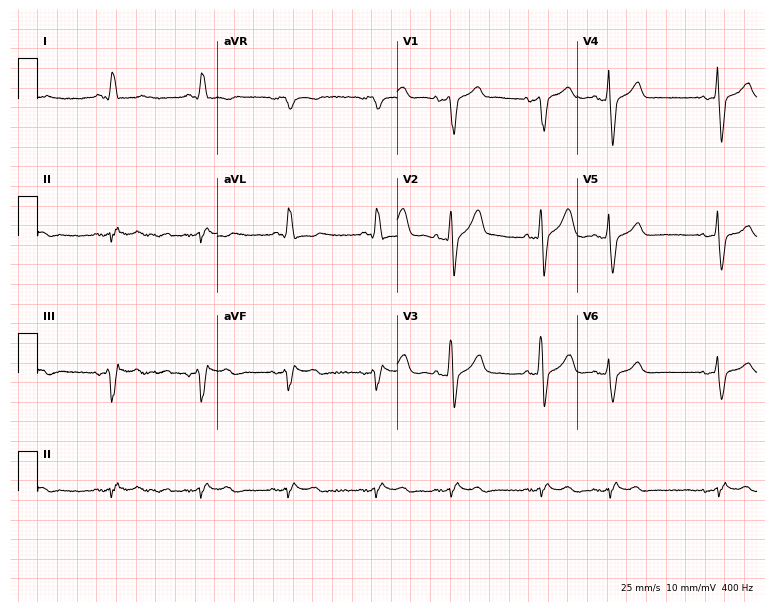
ECG — a male, 77 years old. Findings include left bundle branch block (LBBB).